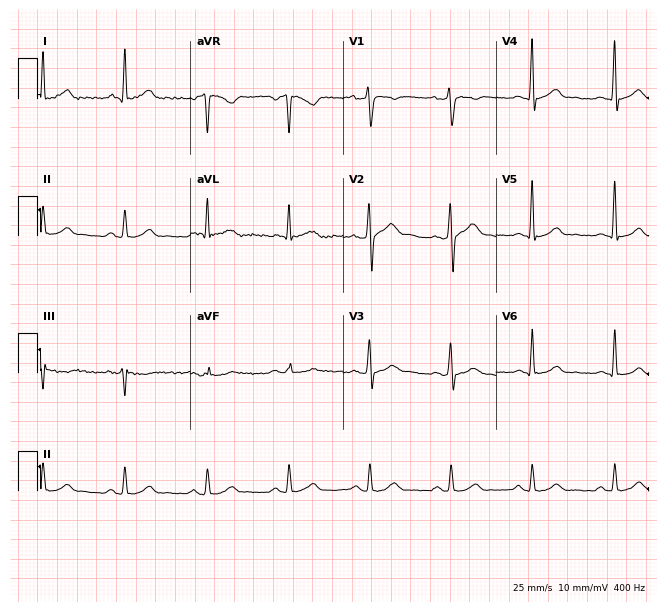
Electrocardiogram, a man, 32 years old. Of the six screened findings (first-degree AV block, right bundle branch block, left bundle branch block, sinus bradycardia, atrial fibrillation, sinus tachycardia), none is recorded.